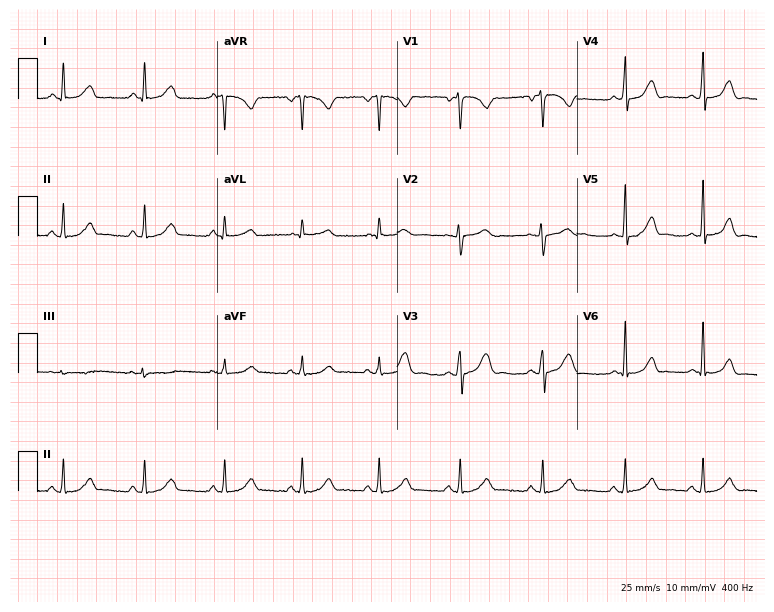
Resting 12-lead electrocardiogram. Patient: a female, 30 years old. None of these six findings is recorded: first-degree AV block, right bundle branch block, left bundle branch block, sinus bradycardia, atrial fibrillation, sinus tachycardia.